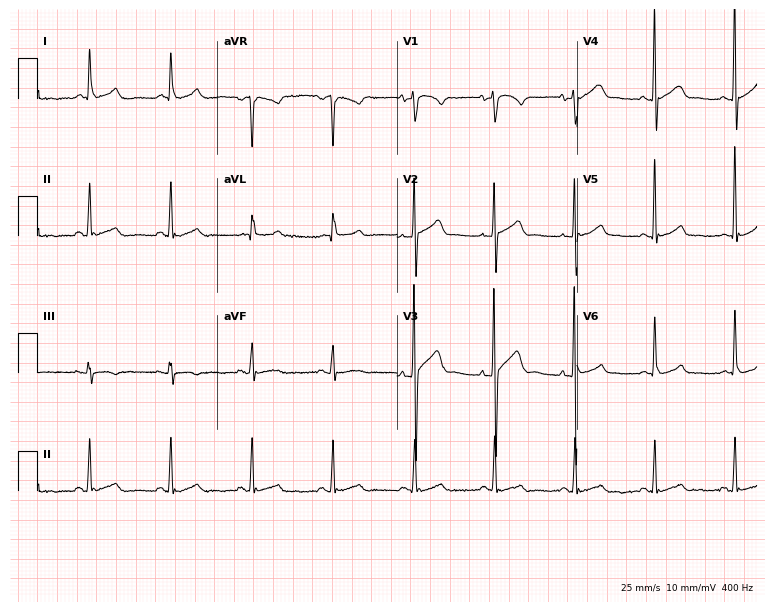
Standard 12-lead ECG recorded from a man, 63 years old. Read as a normal ECG.